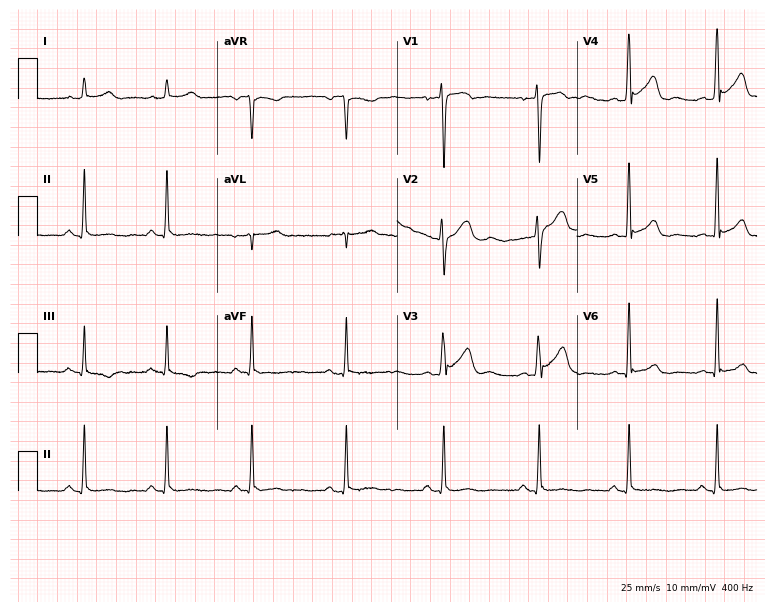
12-lead ECG from a male, 29 years old. Screened for six findings — first-degree AV block, right bundle branch block, left bundle branch block, sinus bradycardia, atrial fibrillation, sinus tachycardia — none is recorded.